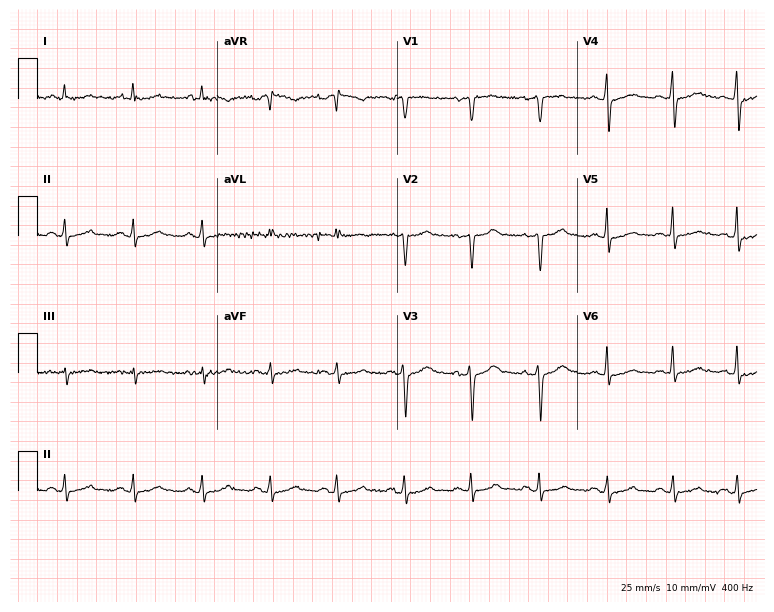
Electrocardiogram, a 68-year-old man. Of the six screened findings (first-degree AV block, right bundle branch block, left bundle branch block, sinus bradycardia, atrial fibrillation, sinus tachycardia), none is recorded. Findings outside these six are not listed.